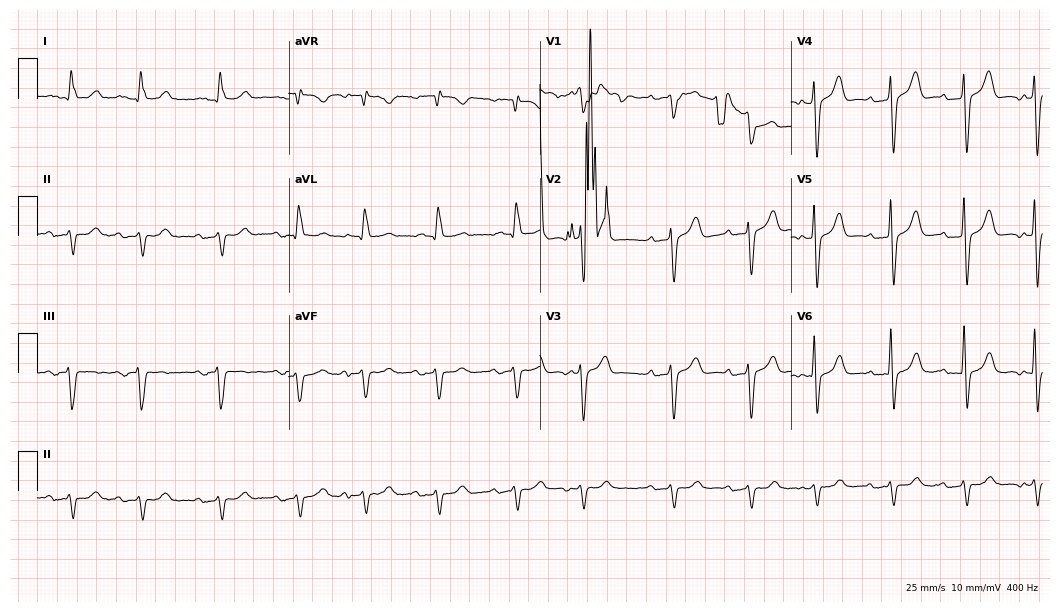
12-lead ECG (10.2-second recording at 400 Hz) from a male patient, 79 years old. Findings include first-degree AV block.